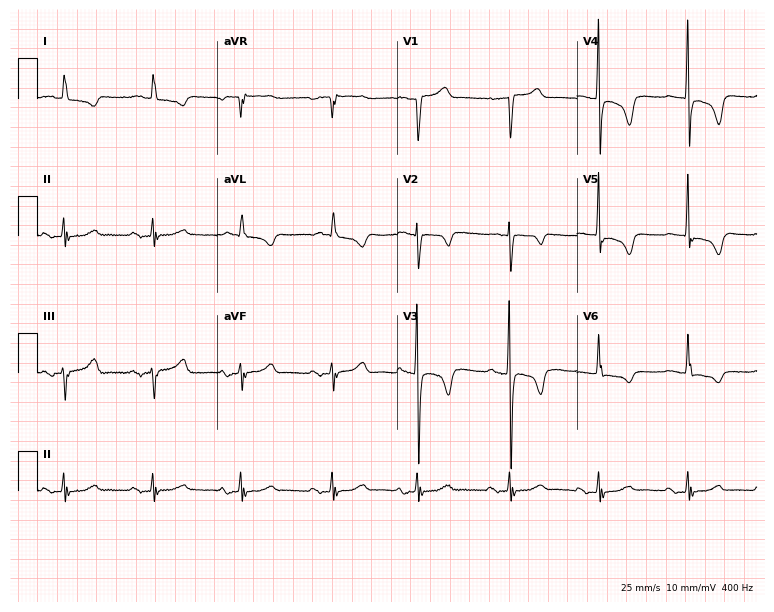
Resting 12-lead electrocardiogram (7.3-second recording at 400 Hz). Patient: a man, 84 years old. None of these six findings is recorded: first-degree AV block, right bundle branch block, left bundle branch block, sinus bradycardia, atrial fibrillation, sinus tachycardia.